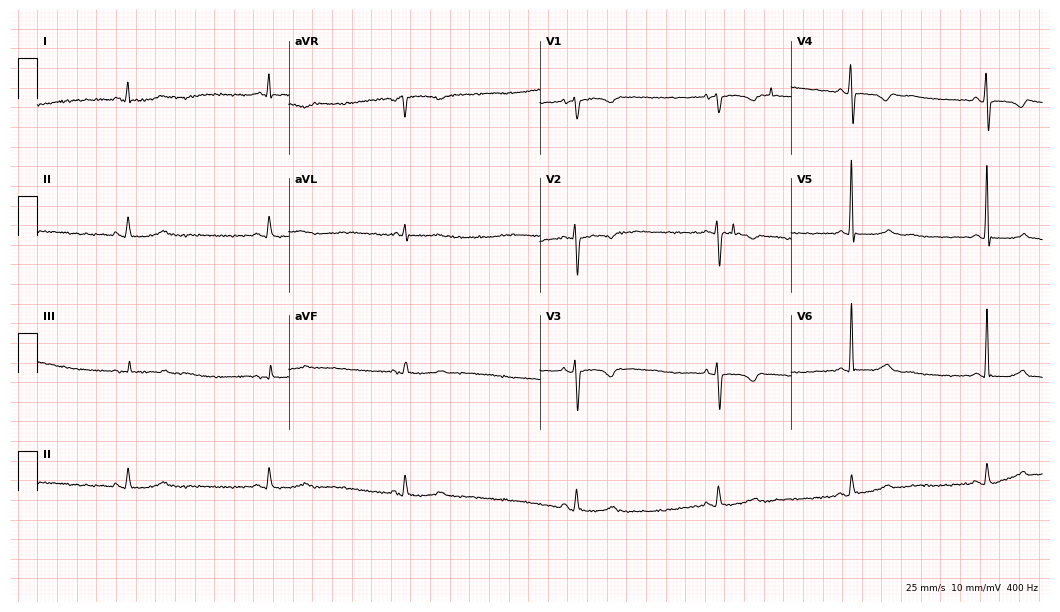
Resting 12-lead electrocardiogram (10.2-second recording at 400 Hz). Patient: a 70-year-old female. The tracing shows sinus bradycardia (a sinus rate of 50 beats per minute or less).